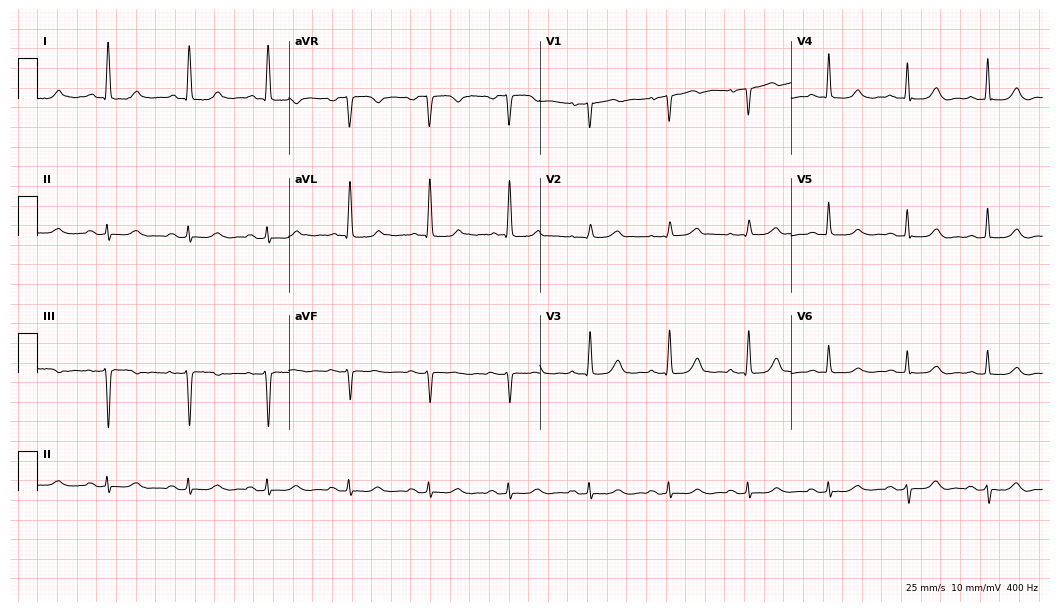
12-lead ECG from an 83-year-old woman. Screened for six findings — first-degree AV block, right bundle branch block, left bundle branch block, sinus bradycardia, atrial fibrillation, sinus tachycardia — none is recorded.